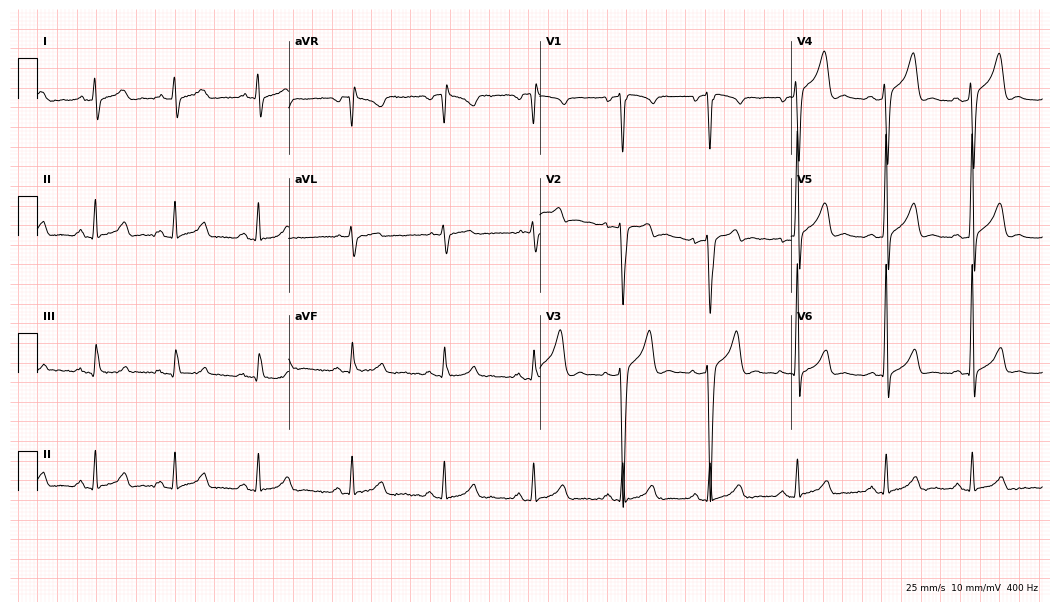
12-lead ECG from a man, 39 years old (10.2-second recording at 400 Hz). Recorded interpretation: within normal limits.